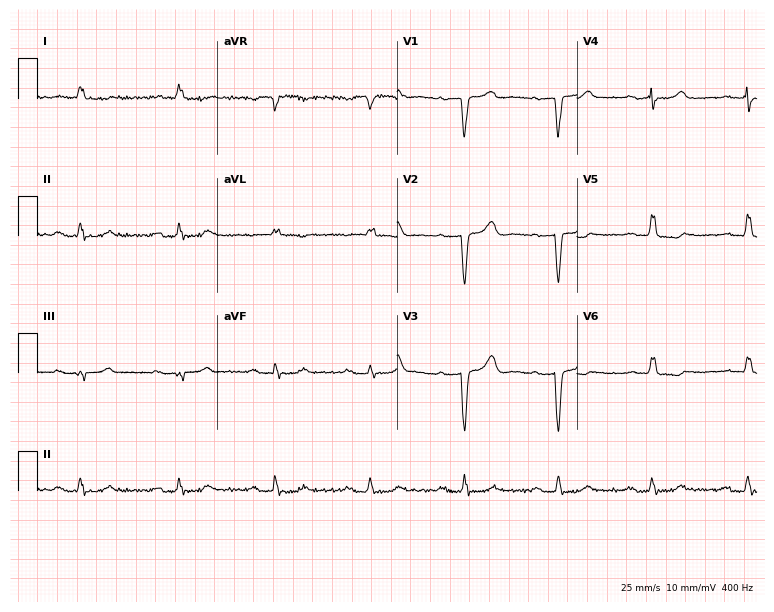
ECG — a woman, 85 years old. Screened for six findings — first-degree AV block, right bundle branch block, left bundle branch block, sinus bradycardia, atrial fibrillation, sinus tachycardia — none is recorded. Findings outside these six are not listed.